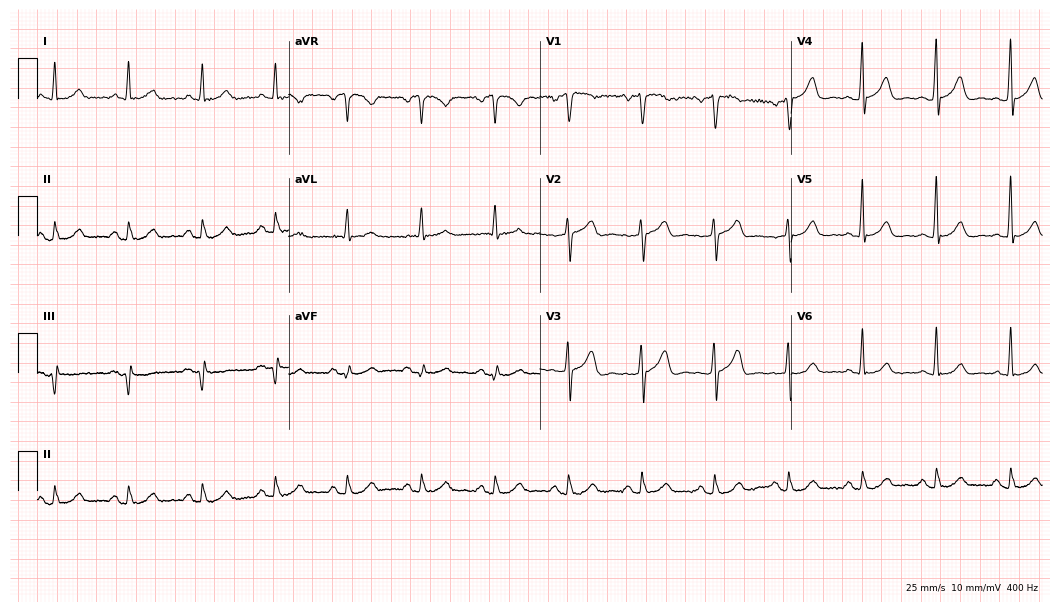
Electrocardiogram, a 66-year-old male. Overall reading on record: normal ECG.